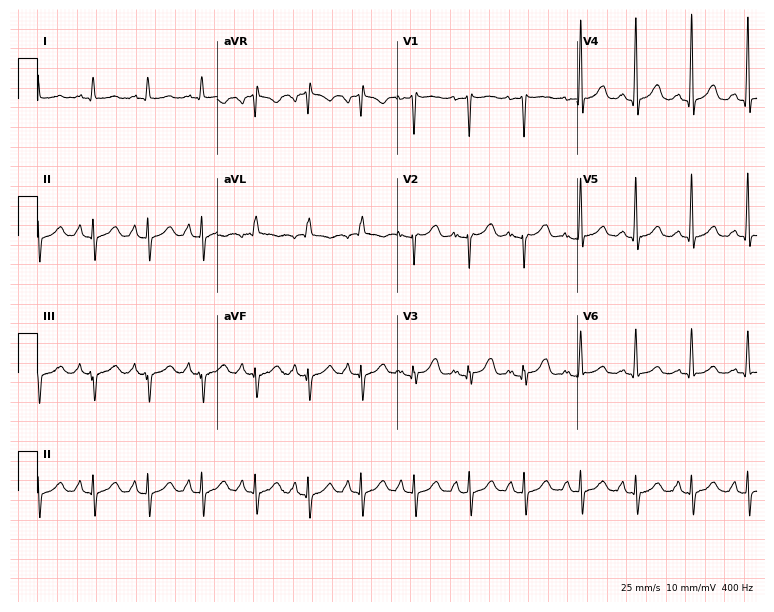
Electrocardiogram (7.3-second recording at 400 Hz), a 49-year-old woman. Interpretation includes sinus tachycardia (a sinus rate of 100 beats per minute or more).